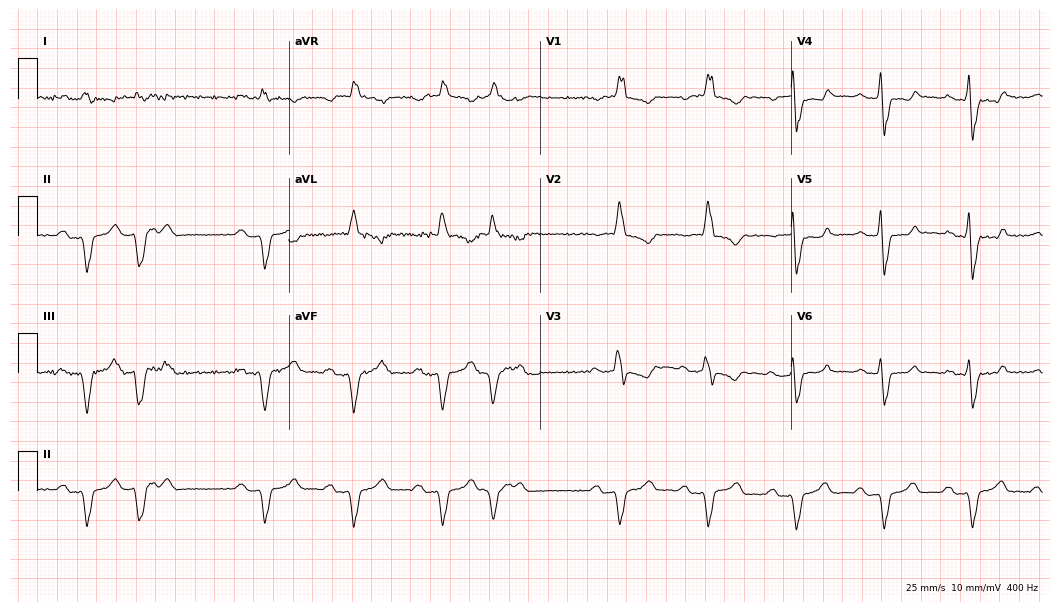
Standard 12-lead ECG recorded from a 74-year-old male patient. The tracing shows first-degree AV block, right bundle branch block.